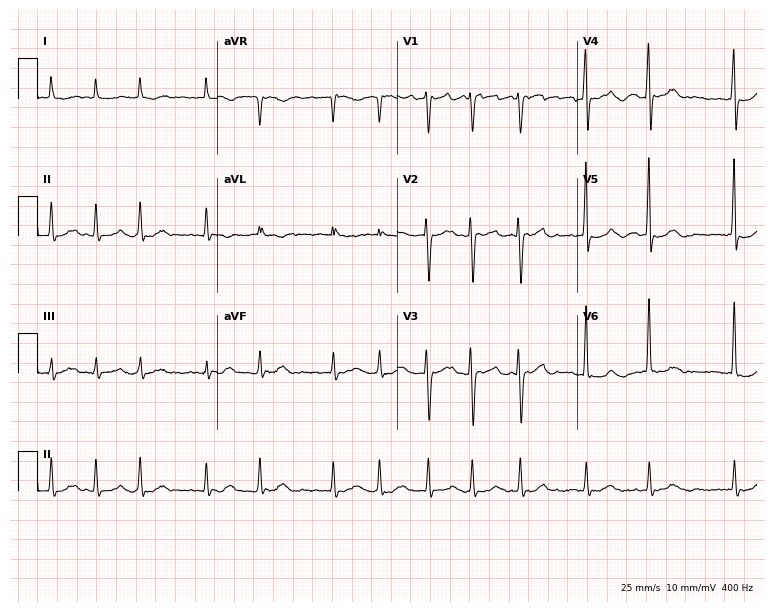
Standard 12-lead ECG recorded from a female patient, 81 years old (7.3-second recording at 400 Hz). None of these six findings is recorded: first-degree AV block, right bundle branch block (RBBB), left bundle branch block (LBBB), sinus bradycardia, atrial fibrillation (AF), sinus tachycardia.